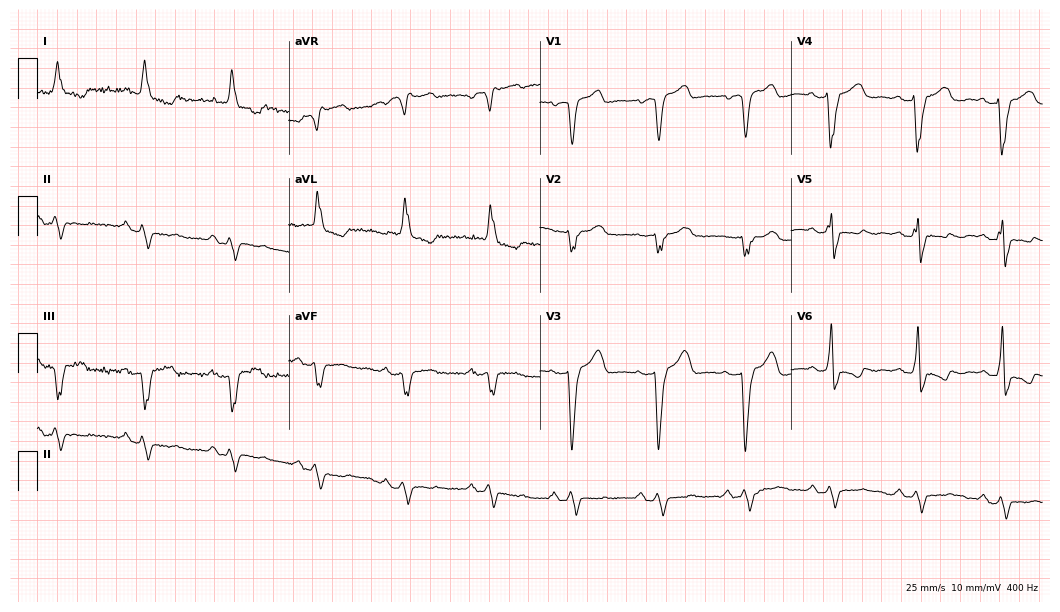
ECG (10.2-second recording at 400 Hz) — a female patient, 79 years old. Findings include left bundle branch block (LBBB).